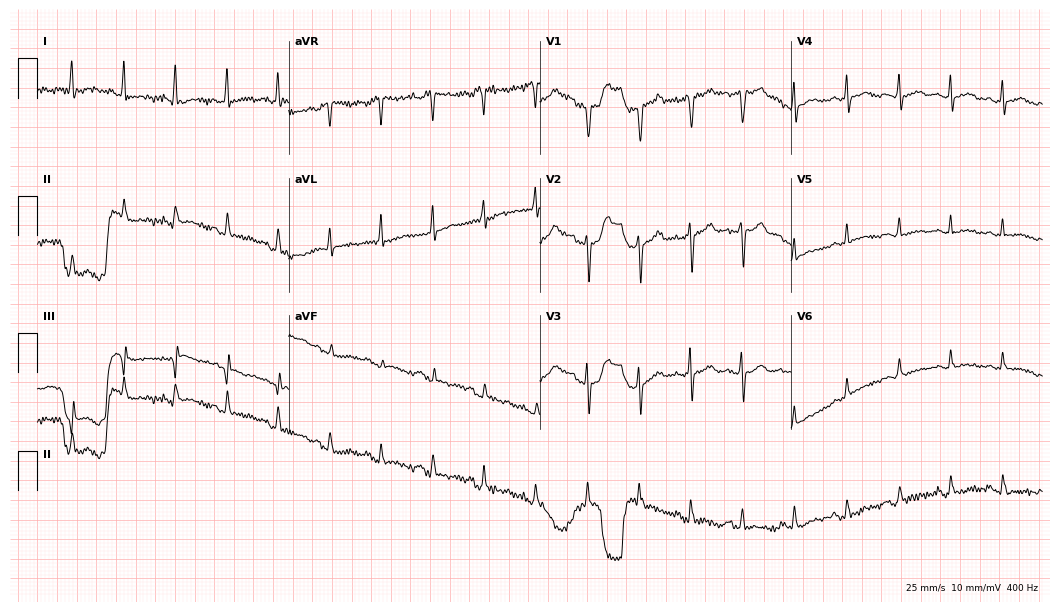
12-lead ECG (10.2-second recording at 400 Hz) from a 42-year-old female. Screened for six findings — first-degree AV block, right bundle branch block, left bundle branch block, sinus bradycardia, atrial fibrillation, sinus tachycardia — none is recorded.